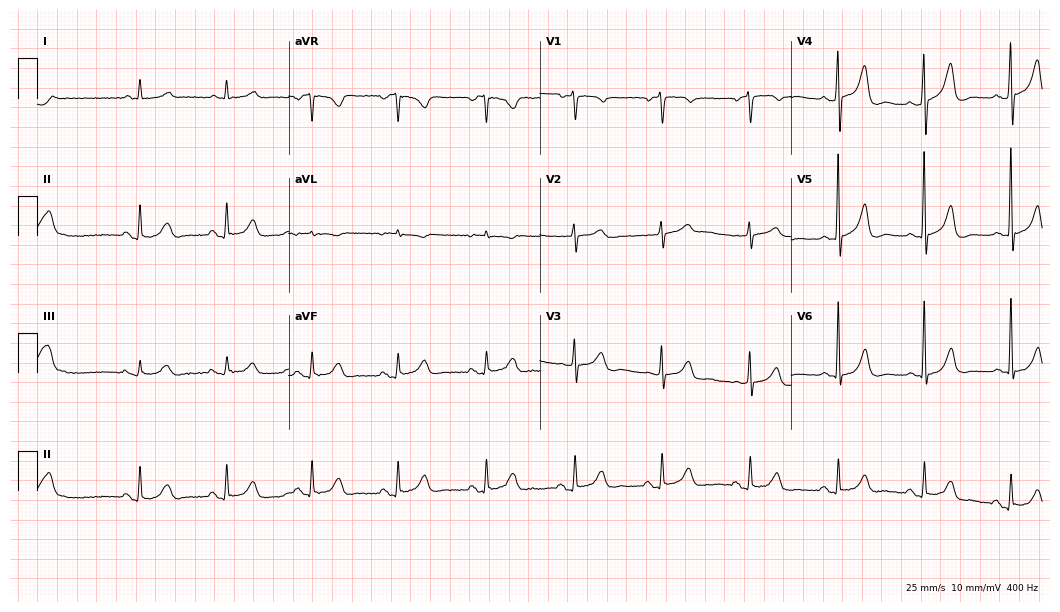
Standard 12-lead ECG recorded from an 83-year-old female (10.2-second recording at 400 Hz). None of these six findings is recorded: first-degree AV block, right bundle branch block, left bundle branch block, sinus bradycardia, atrial fibrillation, sinus tachycardia.